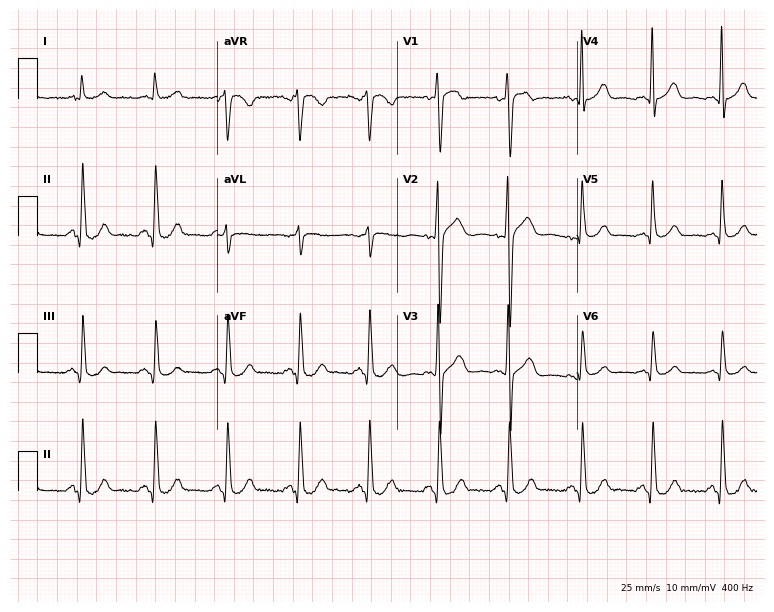
Resting 12-lead electrocardiogram (7.3-second recording at 400 Hz). Patient: a male, 59 years old. None of these six findings is recorded: first-degree AV block, right bundle branch block (RBBB), left bundle branch block (LBBB), sinus bradycardia, atrial fibrillation (AF), sinus tachycardia. Other findings, if any, are not listed.